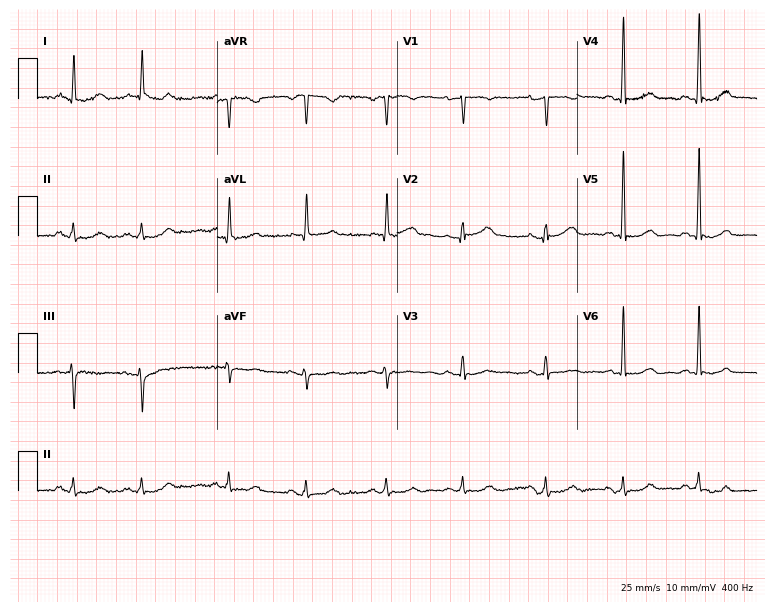
Resting 12-lead electrocardiogram (7.3-second recording at 400 Hz). Patient: an 82-year-old female. None of these six findings is recorded: first-degree AV block, right bundle branch block, left bundle branch block, sinus bradycardia, atrial fibrillation, sinus tachycardia. Only these six findings were labelled.